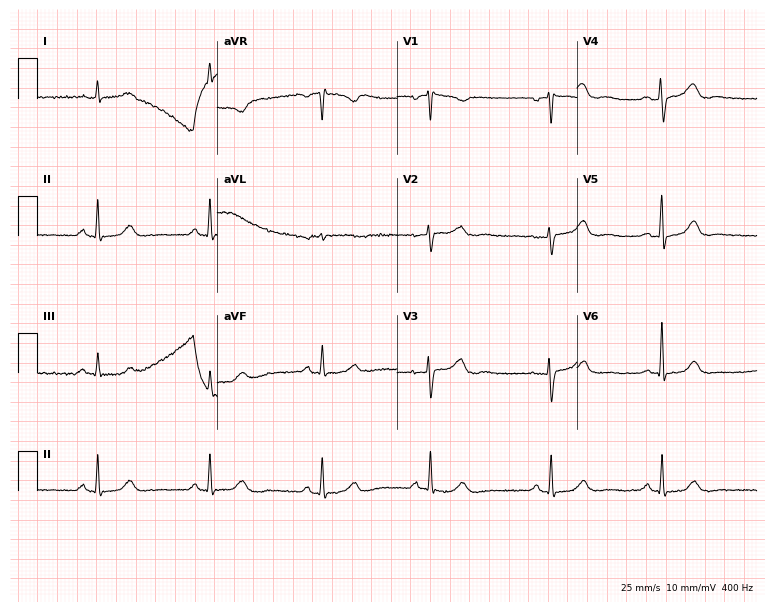
Standard 12-lead ECG recorded from a 52-year-old female. Read as a normal ECG.